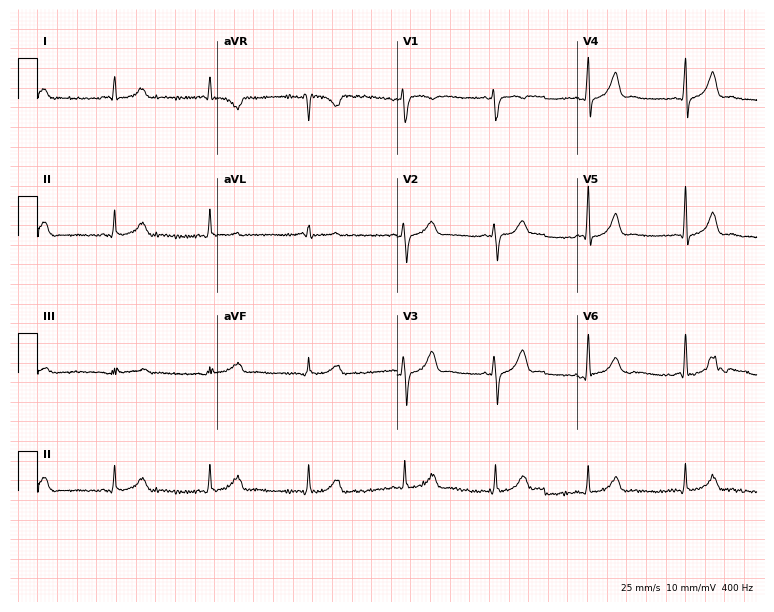
ECG (7.3-second recording at 400 Hz) — a woman, 35 years old. Screened for six findings — first-degree AV block, right bundle branch block (RBBB), left bundle branch block (LBBB), sinus bradycardia, atrial fibrillation (AF), sinus tachycardia — none is recorded. Findings outside these six are not listed.